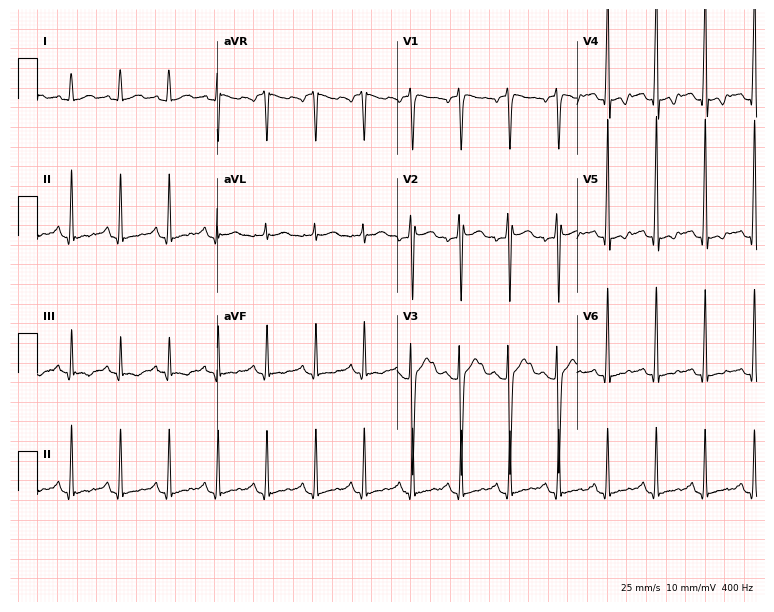
12-lead ECG from a 23-year-old woman. Findings include sinus tachycardia (a sinus rate of 100 beats per minute or more).